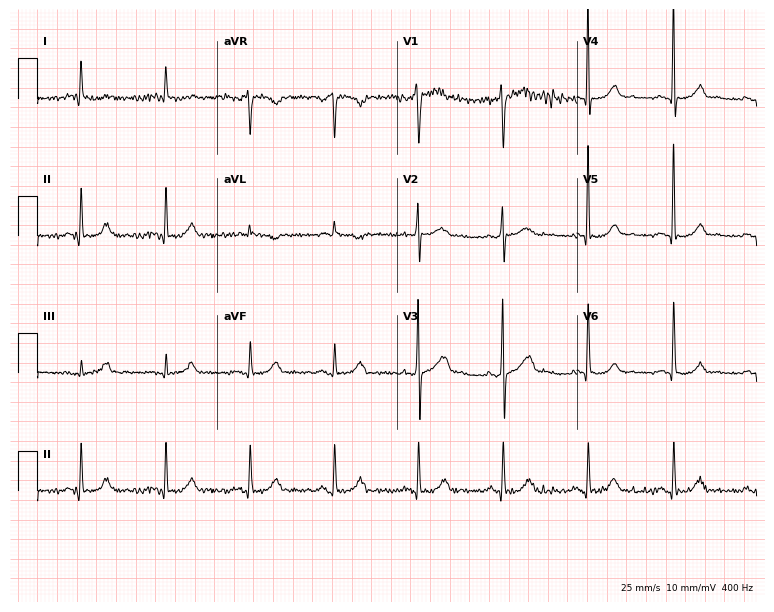
Standard 12-lead ECG recorded from a male patient, 65 years old (7.3-second recording at 400 Hz). Read as a normal ECG.